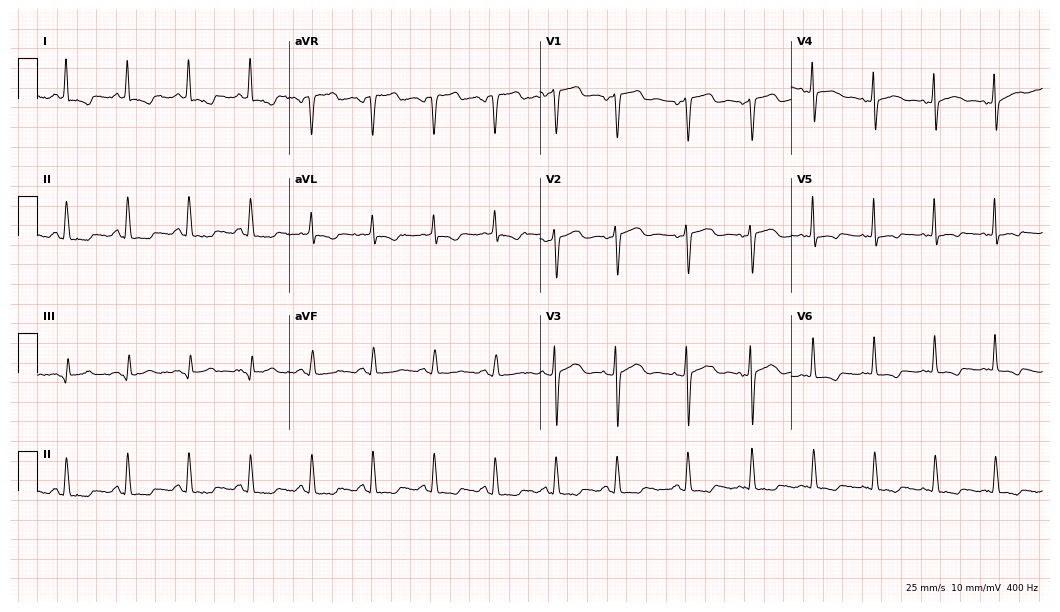
12-lead ECG from a woman, 65 years old (10.2-second recording at 400 Hz). No first-degree AV block, right bundle branch block (RBBB), left bundle branch block (LBBB), sinus bradycardia, atrial fibrillation (AF) or sinus tachycardia recorded for this tracing. Only these six findings were labelled.